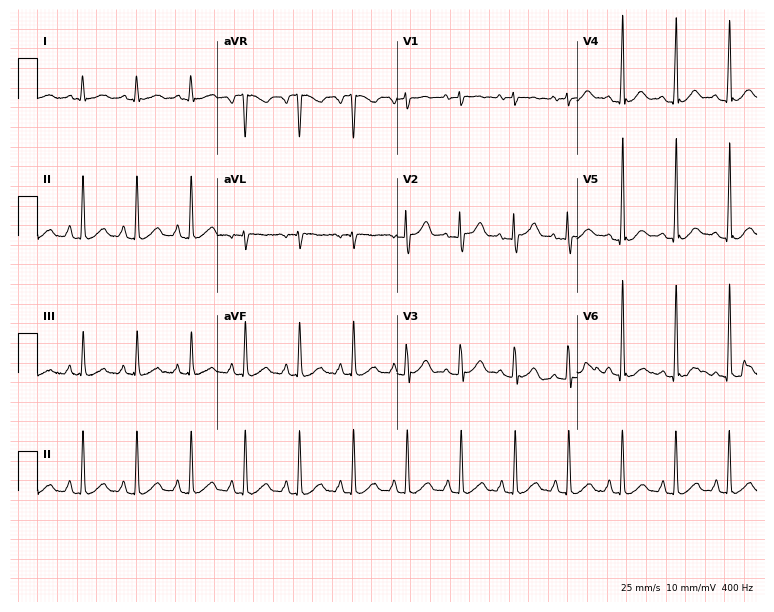
ECG — a female patient, 24 years old. Screened for six findings — first-degree AV block, right bundle branch block (RBBB), left bundle branch block (LBBB), sinus bradycardia, atrial fibrillation (AF), sinus tachycardia — none is recorded. Other findings, if any, are not listed.